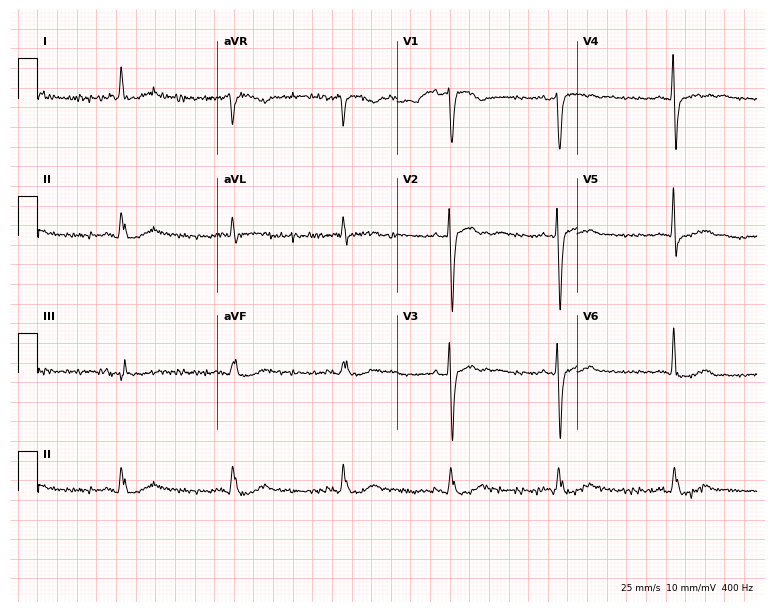
Standard 12-lead ECG recorded from a 72-year-old female patient (7.3-second recording at 400 Hz). None of these six findings is recorded: first-degree AV block, right bundle branch block, left bundle branch block, sinus bradycardia, atrial fibrillation, sinus tachycardia.